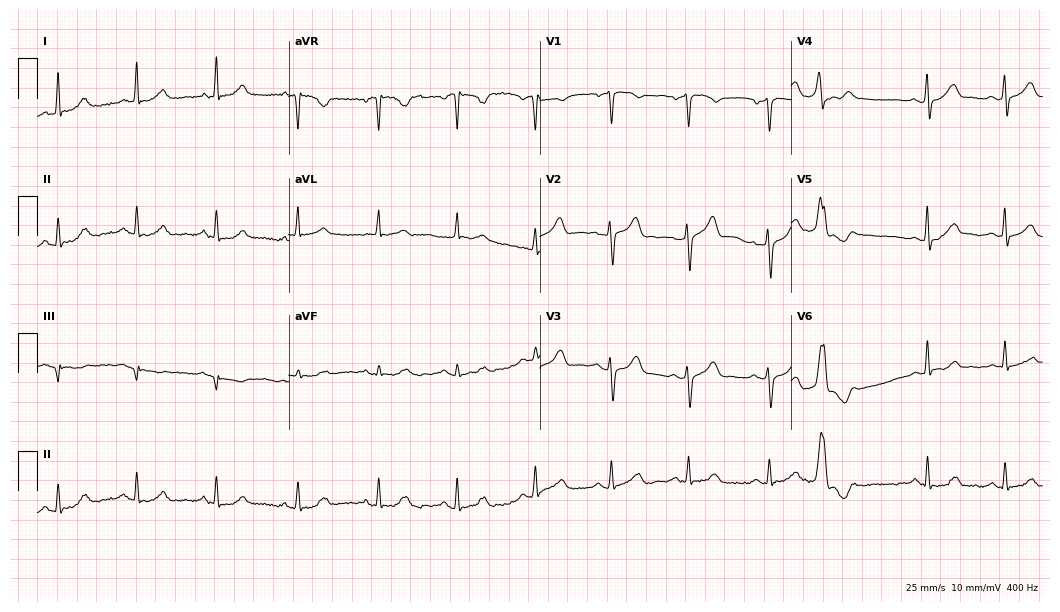
ECG (10.2-second recording at 400 Hz) — a male, 78 years old. Screened for six findings — first-degree AV block, right bundle branch block, left bundle branch block, sinus bradycardia, atrial fibrillation, sinus tachycardia — none is recorded. Other findings, if any, are not listed.